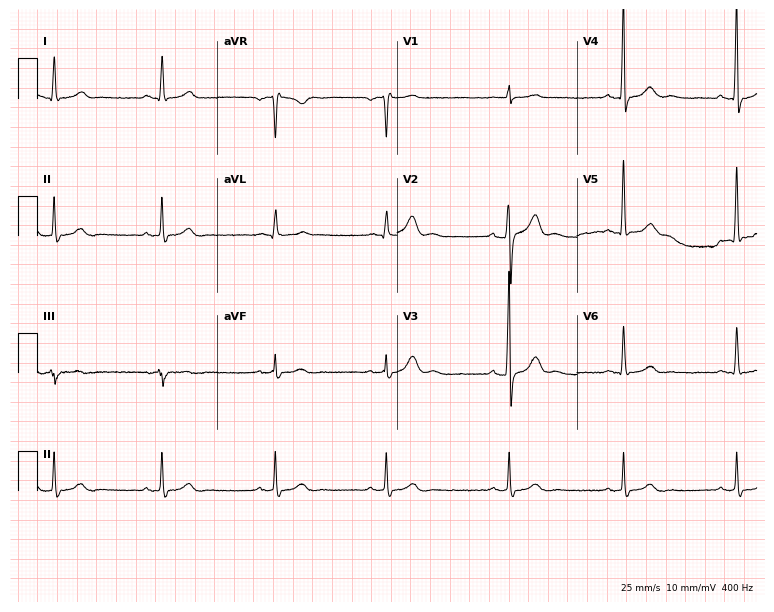
Standard 12-lead ECG recorded from a male, 52 years old (7.3-second recording at 400 Hz). None of these six findings is recorded: first-degree AV block, right bundle branch block, left bundle branch block, sinus bradycardia, atrial fibrillation, sinus tachycardia.